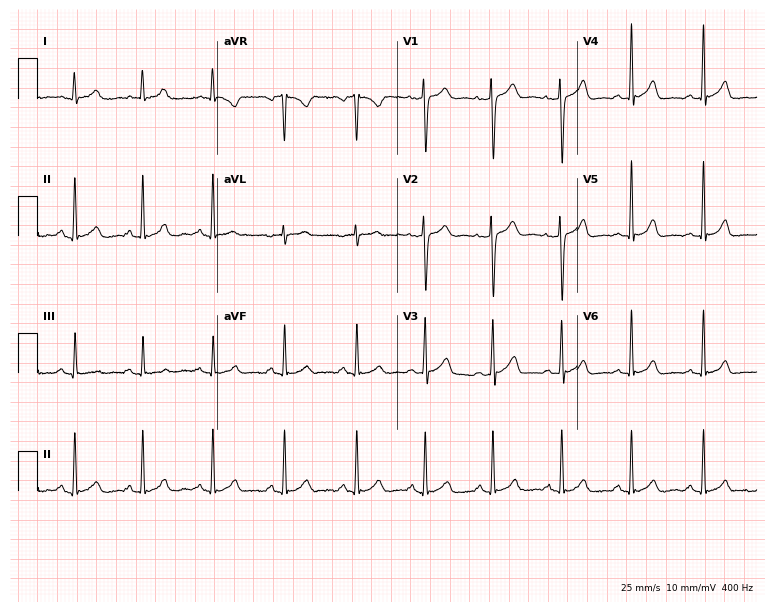
ECG — a 28-year-old female patient. Labelled as a normal ECG.